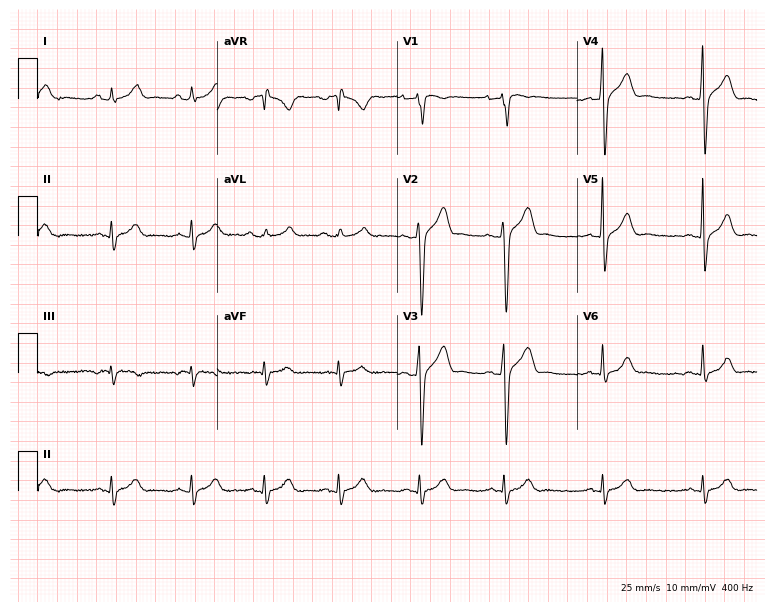
12-lead ECG (7.3-second recording at 400 Hz) from a 25-year-old male patient. Screened for six findings — first-degree AV block, right bundle branch block, left bundle branch block, sinus bradycardia, atrial fibrillation, sinus tachycardia — none is recorded.